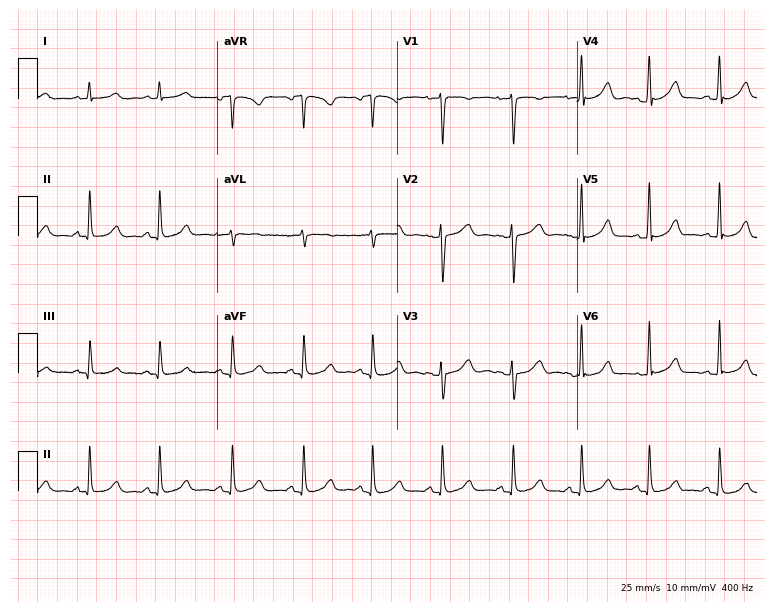
12-lead ECG from a female patient, 41 years old. Labelled as a normal ECG.